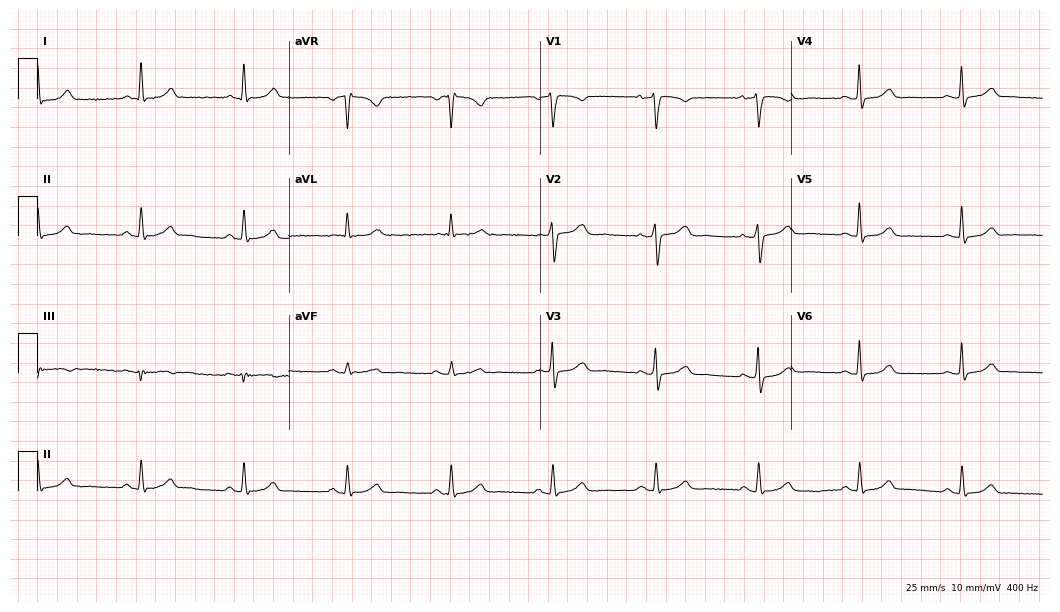
ECG (10.2-second recording at 400 Hz) — a woman, 58 years old. Labelled as a normal ECG.